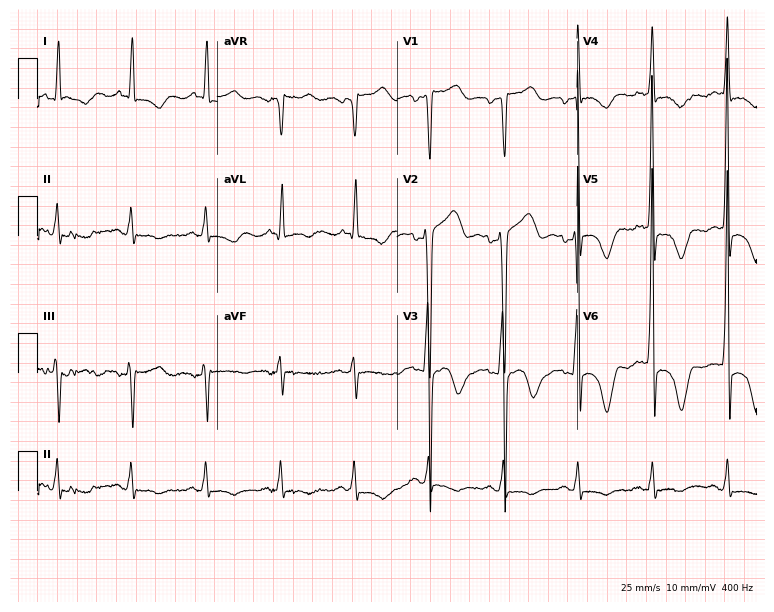
Standard 12-lead ECG recorded from a 51-year-old male patient (7.3-second recording at 400 Hz). None of these six findings is recorded: first-degree AV block, right bundle branch block (RBBB), left bundle branch block (LBBB), sinus bradycardia, atrial fibrillation (AF), sinus tachycardia. Only these six findings were labelled.